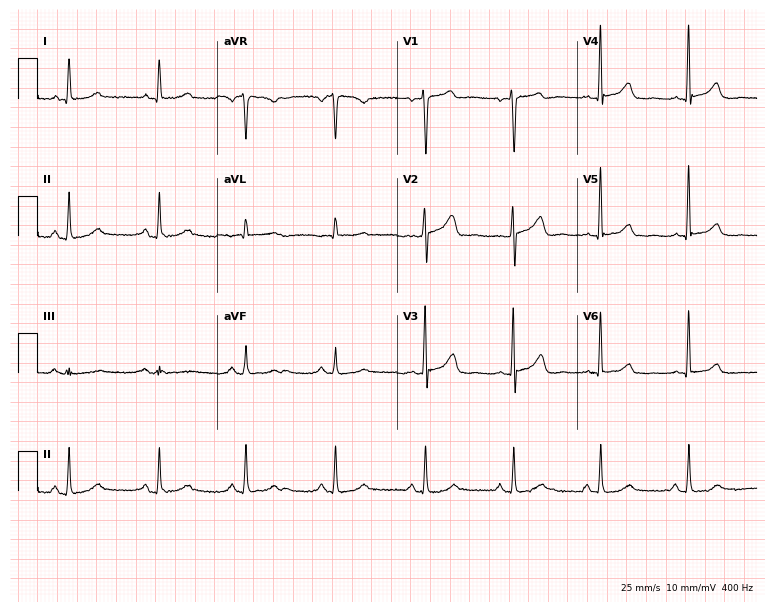
12-lead ECG from a woman, 45 years old. Labelled as a normal ECG.